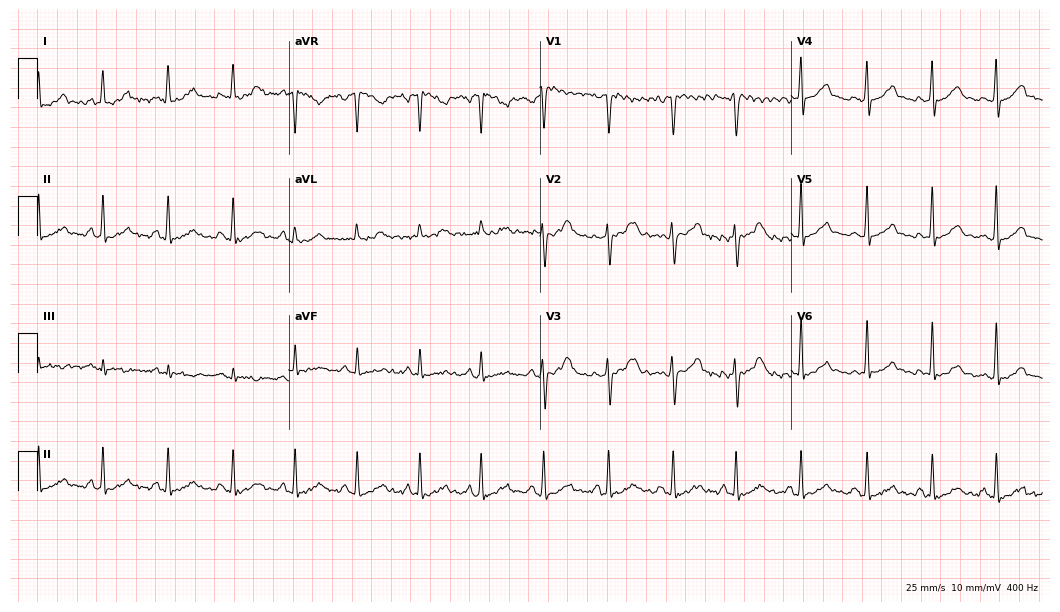
Standard 12-lead ECG recorded from a 36-year-old female (10.2-second recording at 400 Hz). Read as a normal ECG.